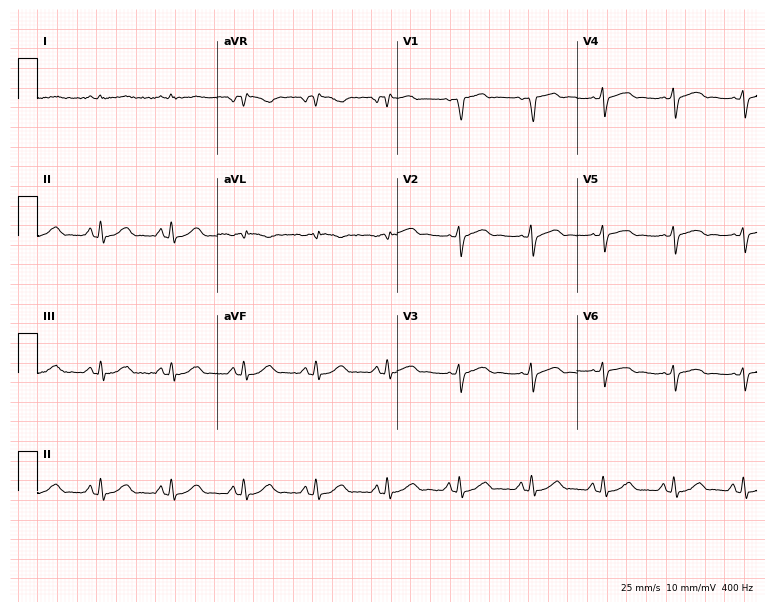
ECG (7.3-second recording at 400 Hz) — a 59-year-old man. Screened for six findings — first-degree AV block, right bundle branch block (RBBB), left bundle branch block (LBBB), sinus bradycardia, atrial fibrillation (AF), sinus tachycardia — none is recorded. Findings outside these six are not listed.